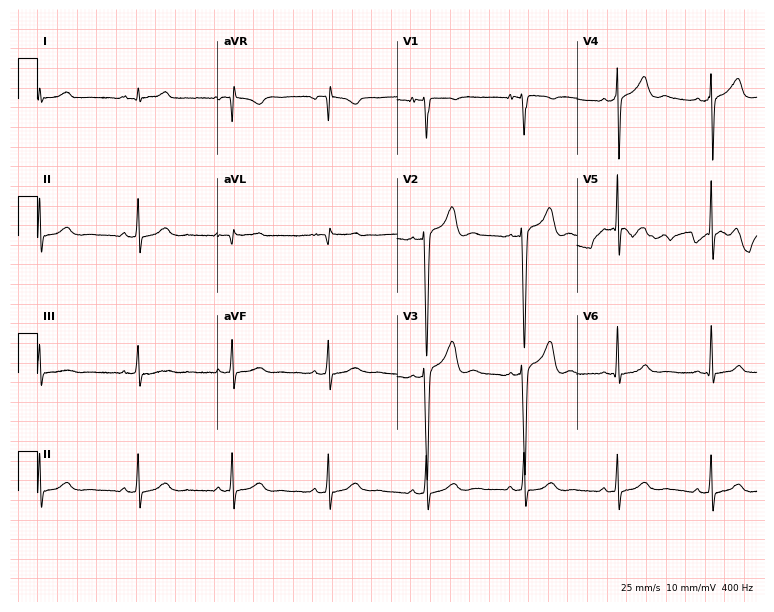
ECG (7.3-second recording at 400 Hz) — a man, 32 years old. Labelled as a normal ECG.